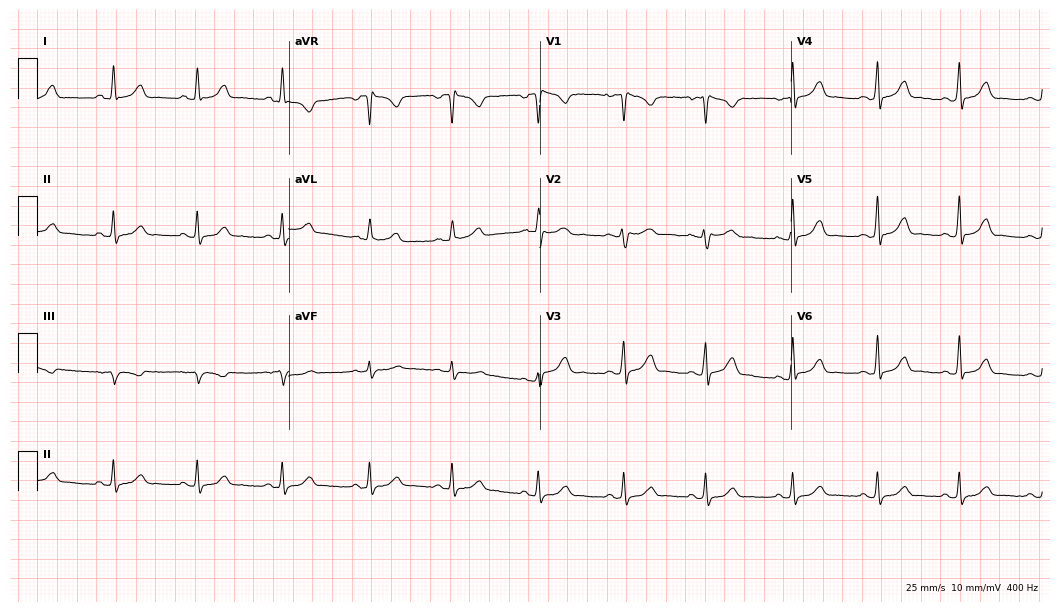
Resting 12-lead electrocardiogram. Patient: a 37-year-old woman. Read as a normal ECG.